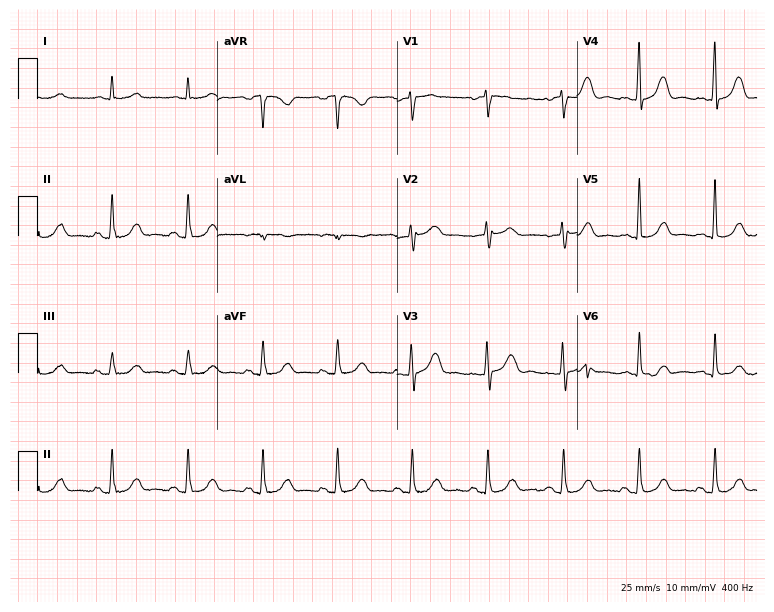
Standard 12-lead ECG recorded from a female patient, 66 years old. Read as a normal ECG.